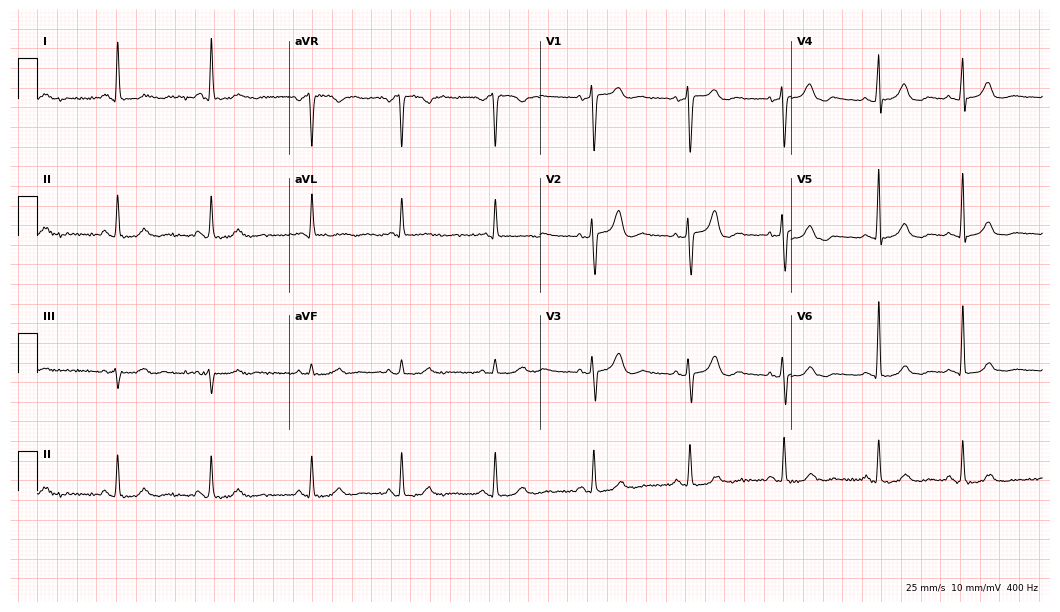
Standard 12-lead ECG recorded from a female, 66 years old (10.2-second recording at 400 Hz). None of these six findings is recorded: first-degree AV block, right bundle branch block (RBBB), left bundle branch block (LBBB), sinus bradycardia, atrial fibrillation (AF), sinus tachycardia.